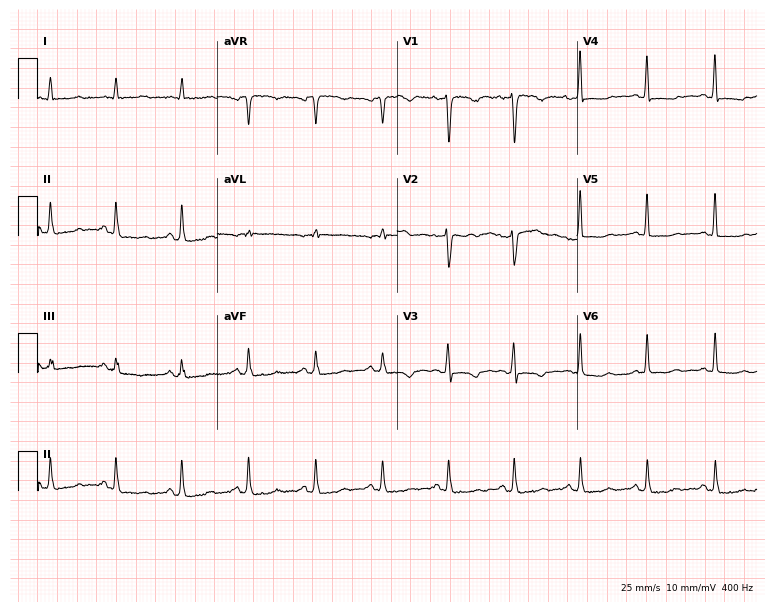
12-lead ECG (7.3-second recording at 400 Hz) from a 59-year-old female patient. Screened for six findings — first-degree AV block, right bundle branch block (RBBB), left bundle branch block (LBBB), sinus bradycardia, atrial fibrillation (AF), sinus tachycardia — none is recorded. Only these six findings were labelled.